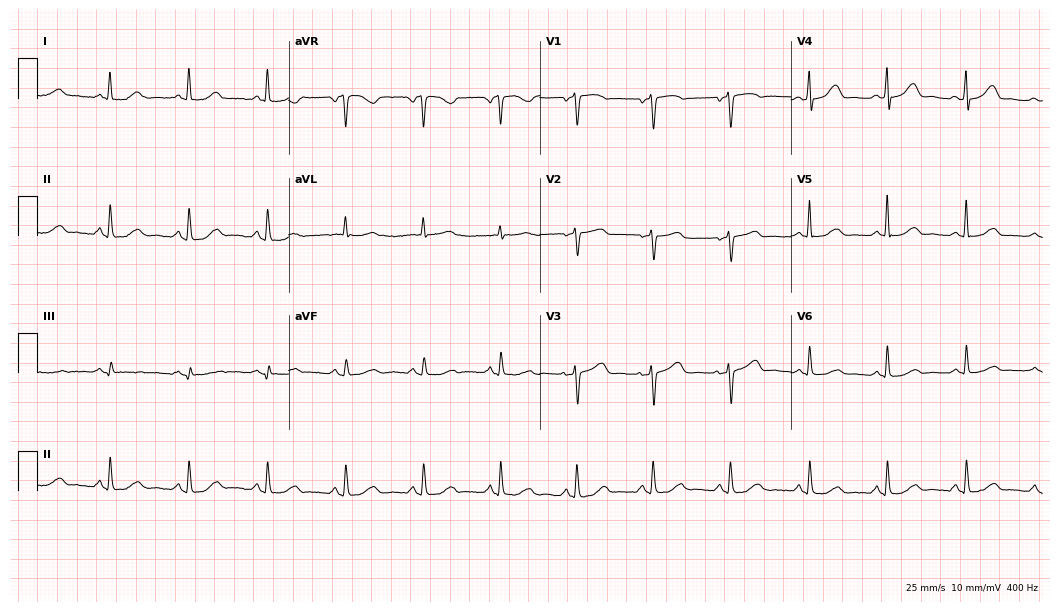
ECG (10.2-second recording at 400 Hz) — a female, 65 years old. Labelled as a normal ECG.